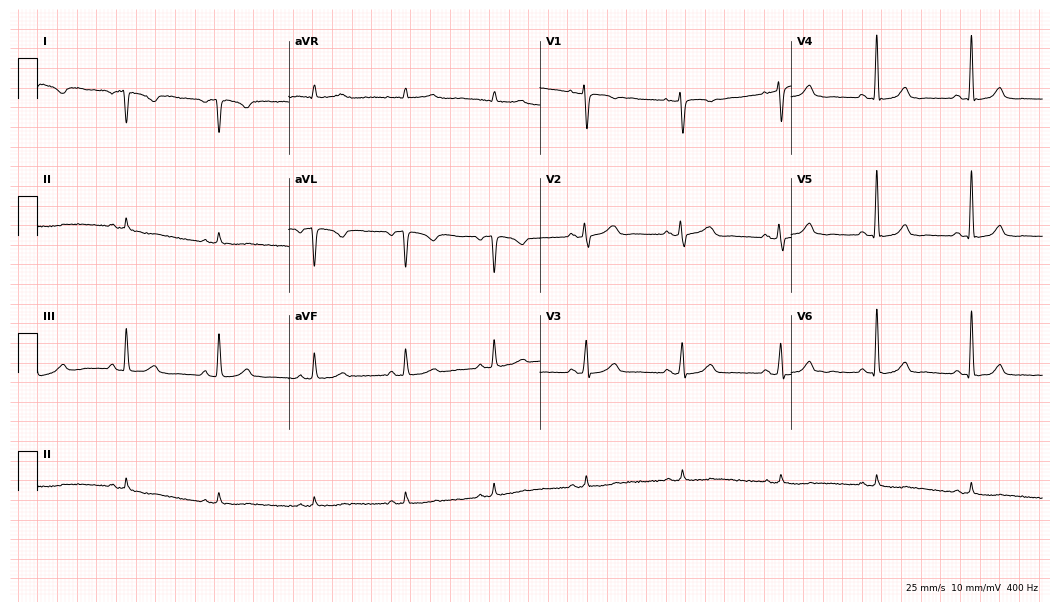
Standard 12-lead ECG recorded from a 47-year-old female patient. None of these six findings is recorded: first-degree AV block, right bundle branch block, left bundle branch block, sinus bradycardia, atrial fibrillation, sinus tachycardia.